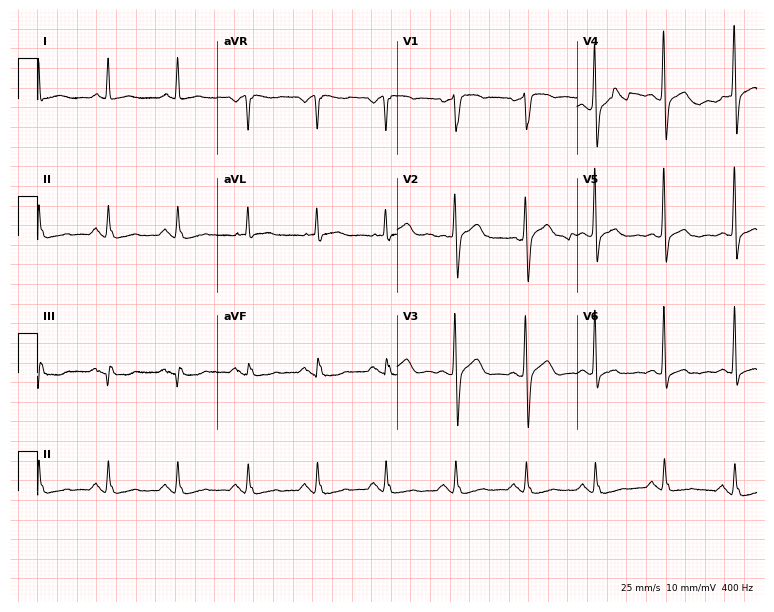
12-lead ECG from a male patient, 62 years old (7.3-second recording at 400 Hz). No first-degree AV block, right bundle branch block, left bundle branch block, sinus bradycardia, atrial fibrillation or sinus tachycardia recorded for this tracing. Other findings, if any, are not listed.